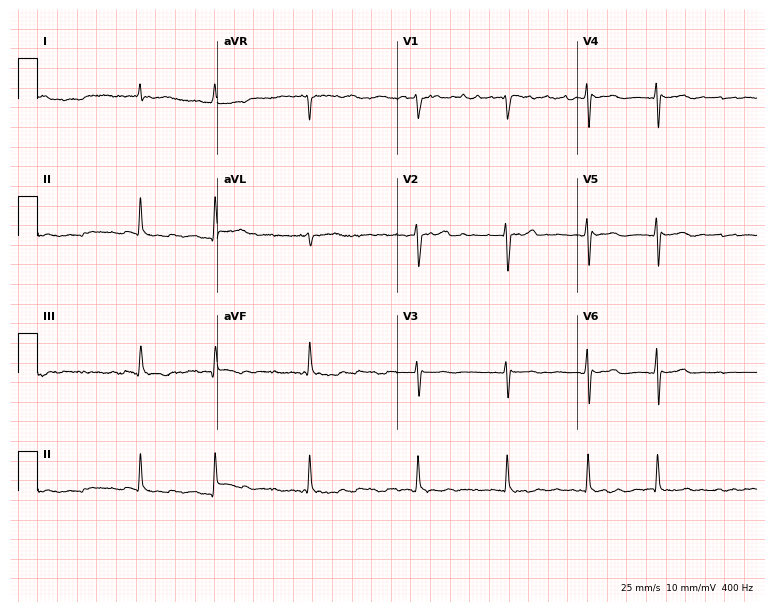
ECG (7.3-second recording at 400 Hz) — a male patient, 77 years old. Findings include atrial fibrillation.